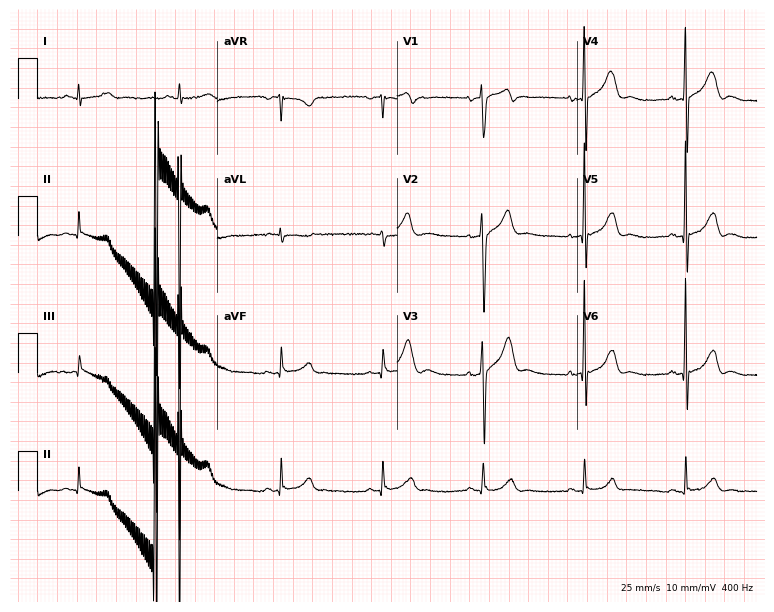
Resting 12-lead electrocardiogram (7.3-second recording at 400 Hz). Patient: a male, 75 years old. None of these six findings is recorded: first-degree AV block, right bundle branch block (RBBB), left bundle branch block (LBBB), sinus bradycardia, atrial fibrillation (AF), sinus tachycardia.